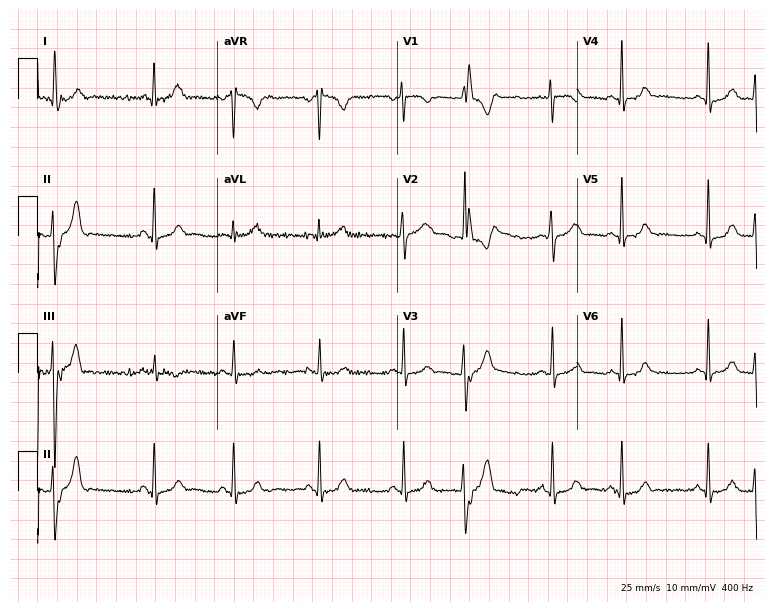
Standard 12-lead ECG recorded from a 28-year-old woman. Read as a normal ECG.